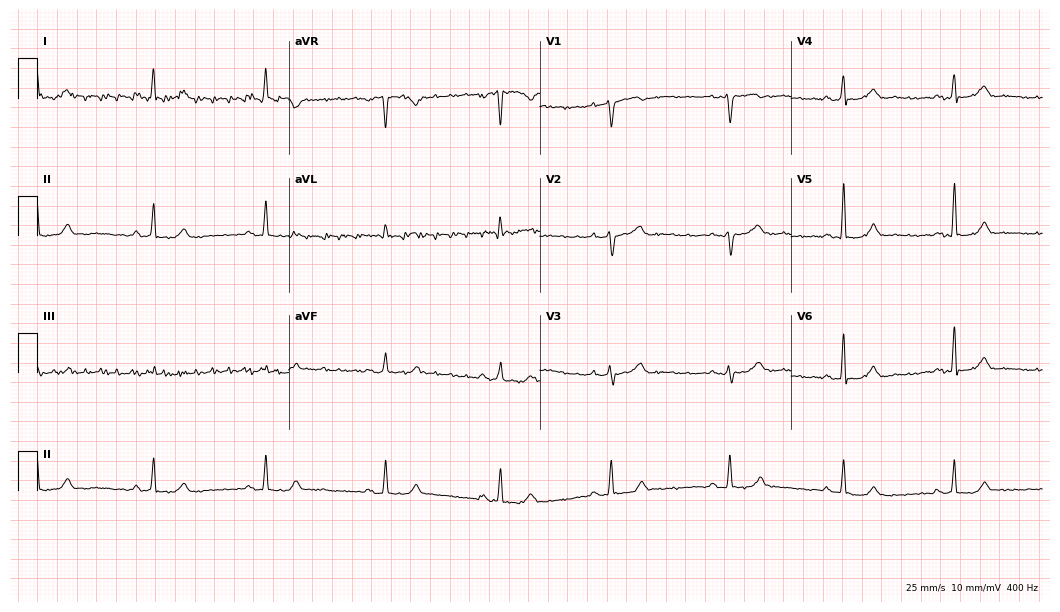
Electrocardiogram, a female patient, 57 years old. Of the six screened findings (first-degree AV block, right bundle branch block (RBBB), left bundle branch block (LBBB), sinus bradycardia, atrial fibrillation (AF), sinus tachycardia), none is recorded. Other findings, if any, are not listed.